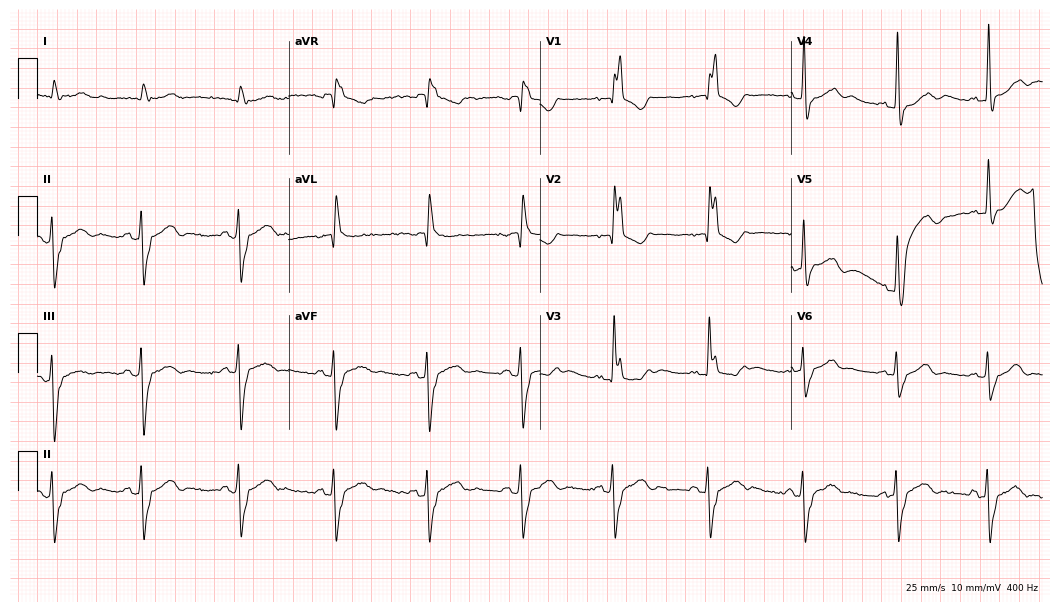
ECG (10.2-second recording at 400 Hz) — a male patient, 85 years old. Findings include right bundle branch block.